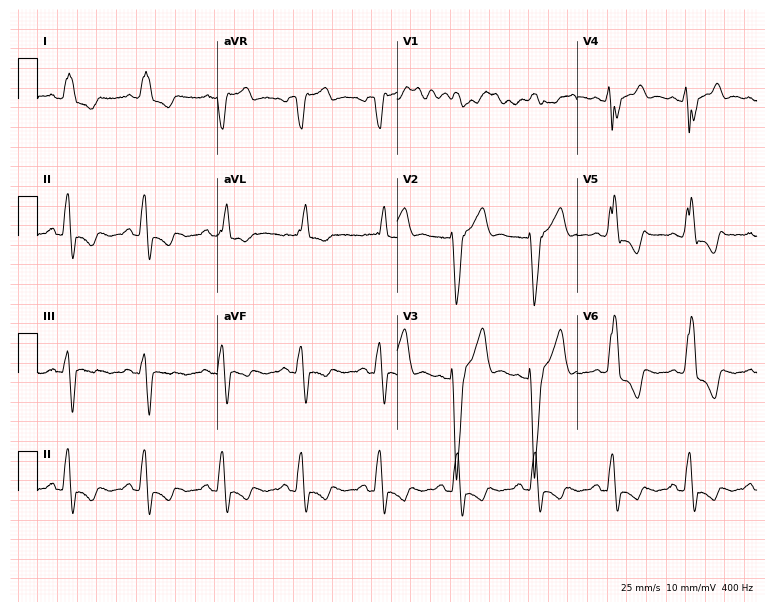
Electrocardiogram, a 72-year-old male patient. Interpretation includes left bundle branch block.